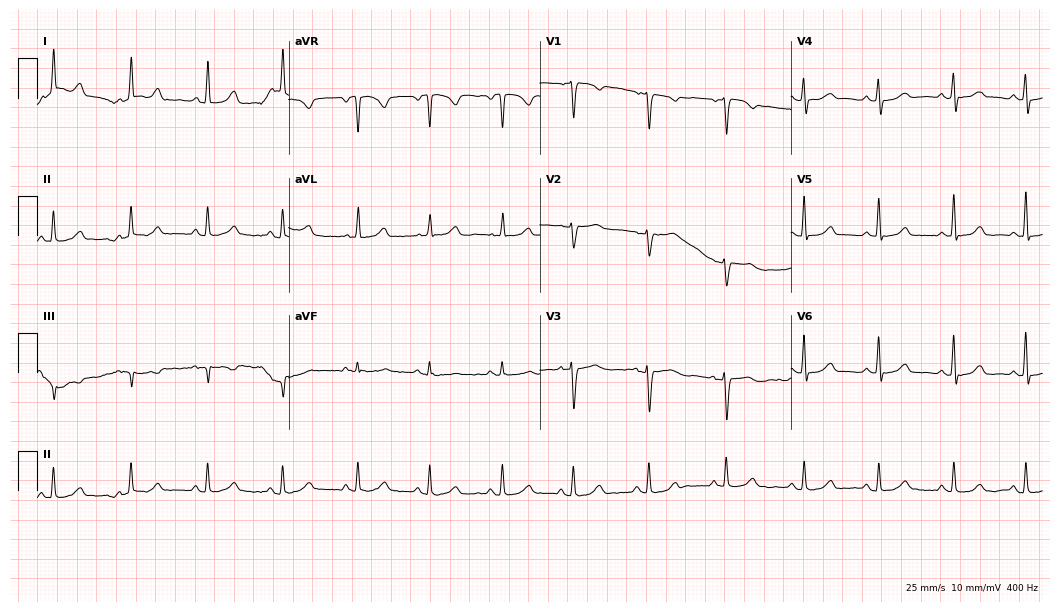
Resting 12-lead electrocardiogram. Patient: a 51-year-old woman. Read as a normal ECG.